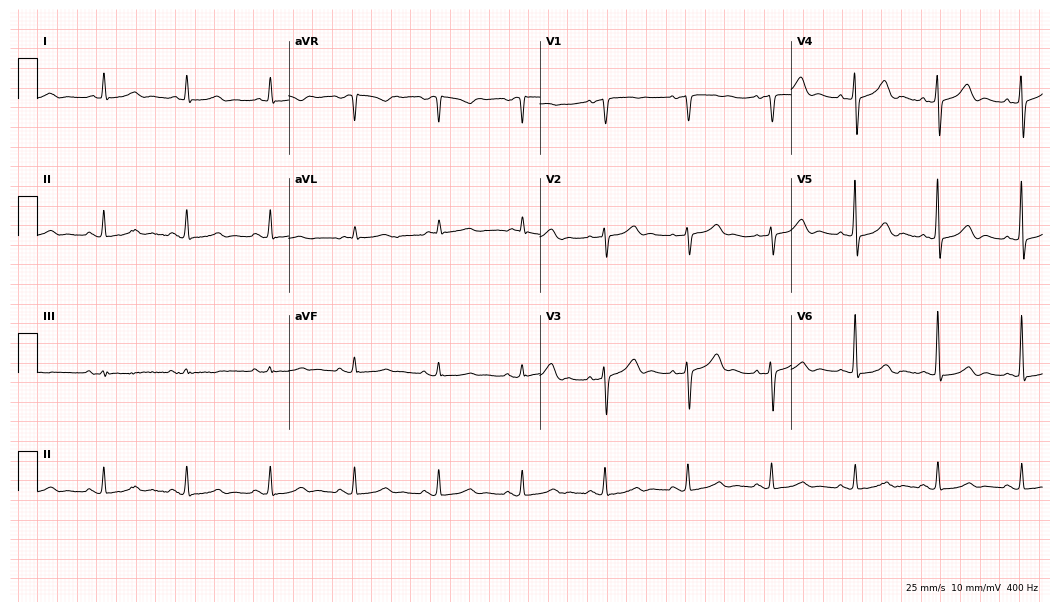
12-lead ECG (10.2-second recording at 400 Hz) from a woman, 71 years old. Labelled as a normal ECG.